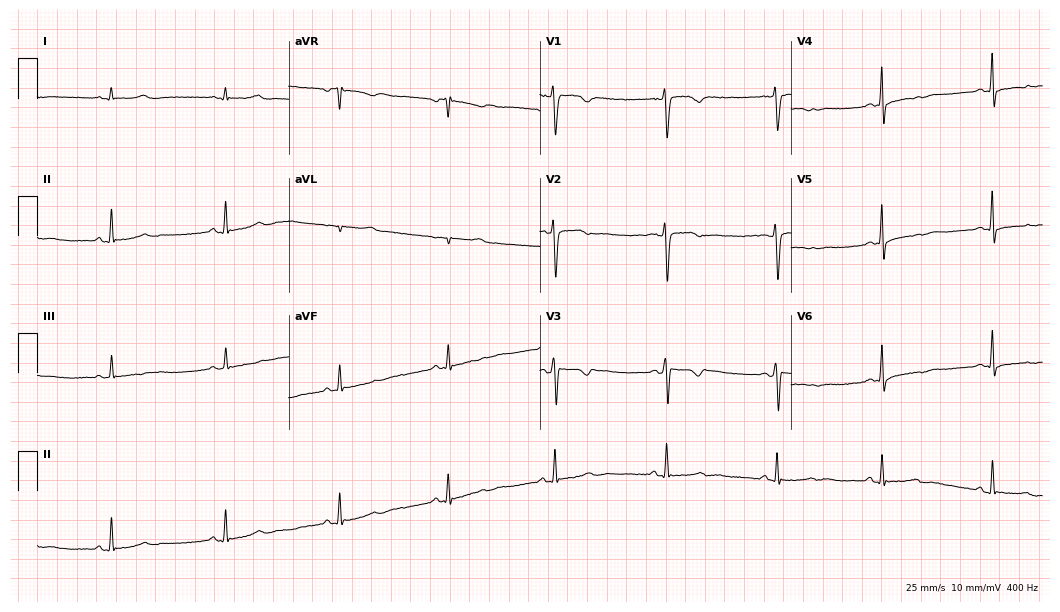
Standard 12-lead ECG recorded from a woman, 32 years old (10.2-second recording at 400 Hz). None of these six findings is recorded: first-degree AV block, right bundle branch block (RBBB), left bundle branch block (LBBB), sinus bradycardia, atrial fibrillation (AF), sinus tachycardia. Only these six findings were labelled.